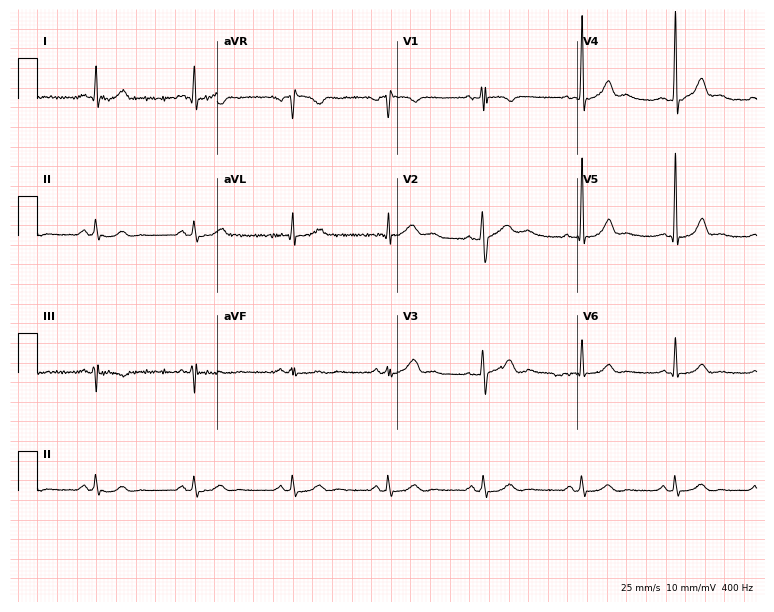
12-lead ECG from a male, 34 years old. Recorded interpretation: within normal limits.